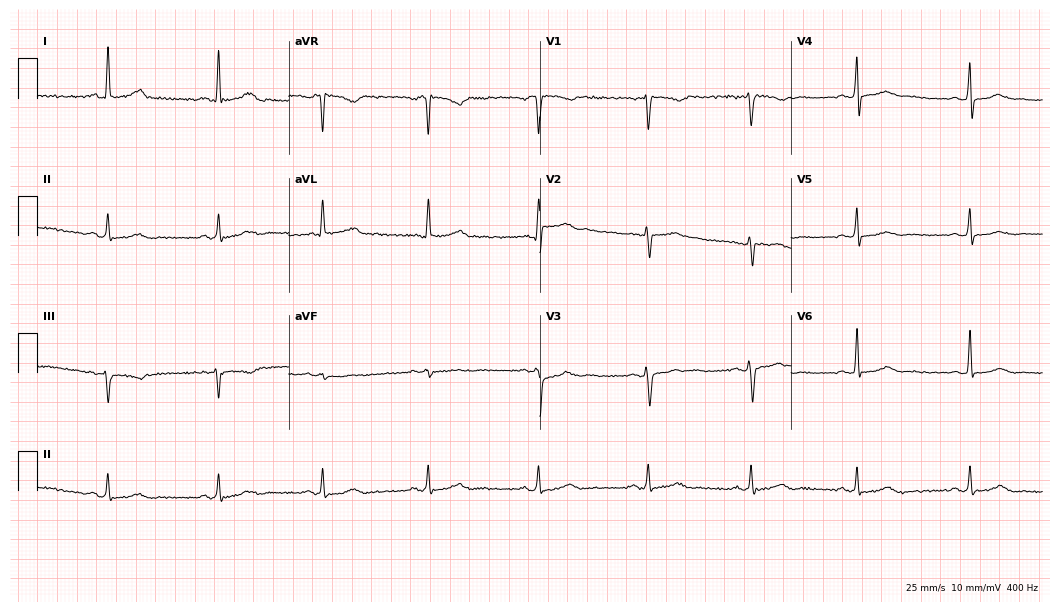
ECG — a female, 42 years old. Screened for six findings — first-degree AV block, right bundle branch block, left bundle branch block, sinus bradycardia, atrial fibrillation, sinus tachycardia — none is recorded. Other findings, if any, are not listed.